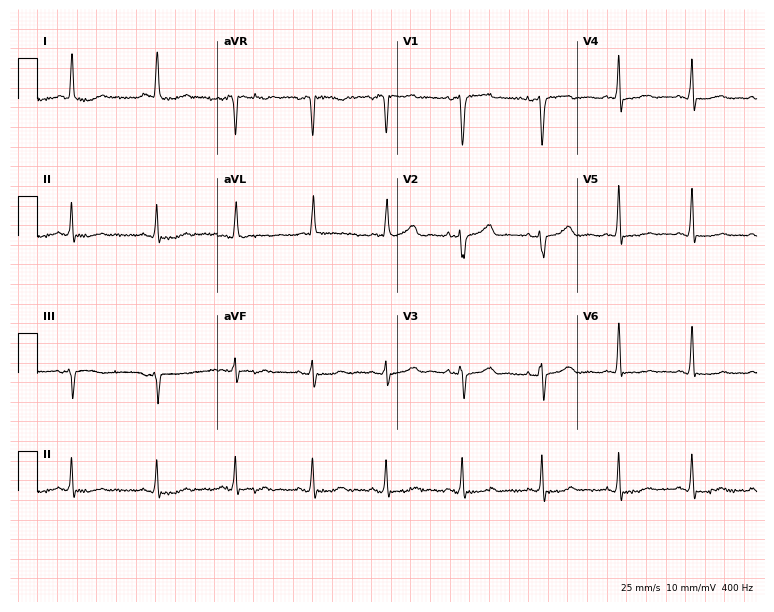
Resting 12-lead electrocardiogram (7.3-second recording at 400 Hz). Patient: a female, 73 years old. None of these six findings is recorded: first-degree AV block, right bundle branch block (RBBB), left bundle branch block (LBBB), sinus bradycardia, atrial fibrillation (AF), sinus tachycardia.